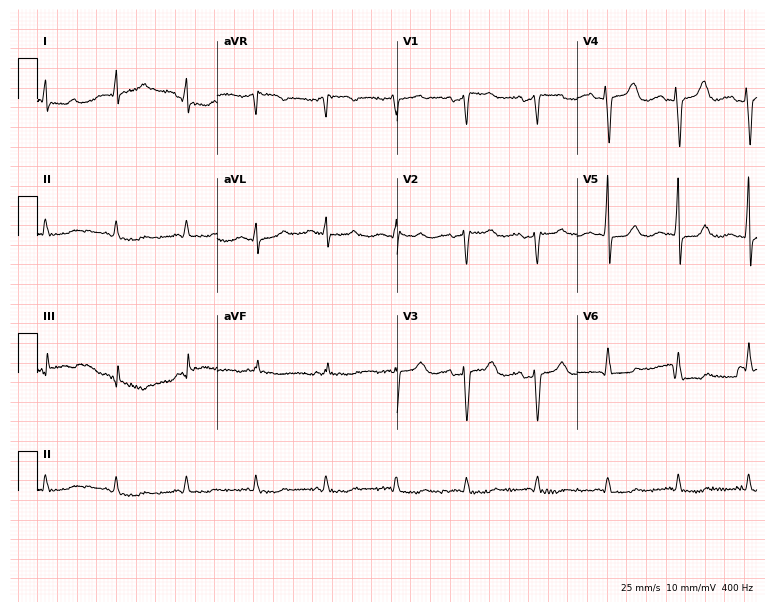
Resting 12-lead electrocardiogram. Patient: a female, 41 years old. None of these six findings is recorded: first-degree AV block, right bundle branch block, left bundle branch block, sinus bradycardia, atrial fibrillation, sinus tachycardia. Only these six findings were labelled.